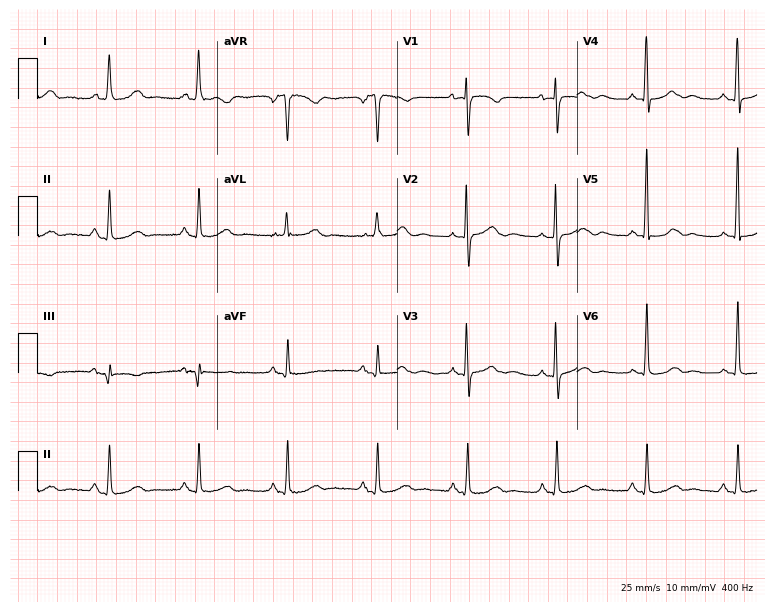
Standard 12-lead ECG recorded from a 60-year-old female (7.3-second recording at 400 Hz). None of these six findings is recorded: first-degree AV block, right bundle branch block, left bundle branch block, sinus bradycardia, atrial fibrillation, sinus tachycardia. Other findings, if any, are not listed.